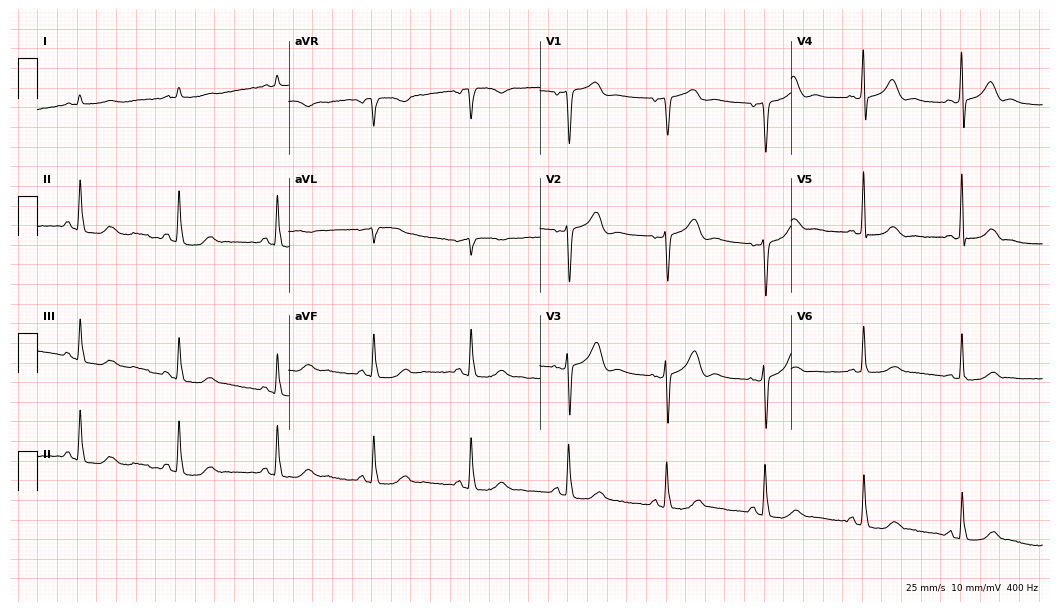
12-lead ECG from a woman, 78 years old. Labelled as a normal ECG.